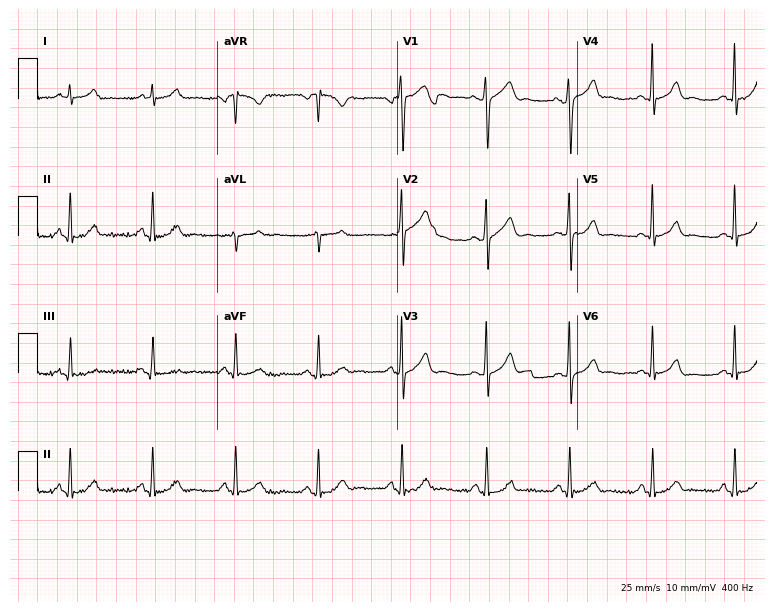
Standard 12-lead ECG recorded from a 55-year-old man. Read as a normal ECG.